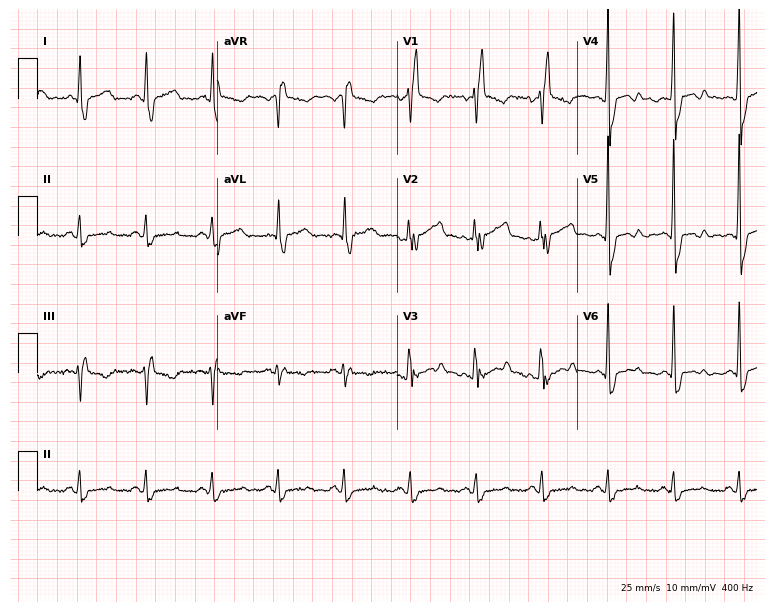
ECG (7.3-second recording at 400 Hz) — a 39-year-old male patient. Findings include right bundle branch block (RBBB).